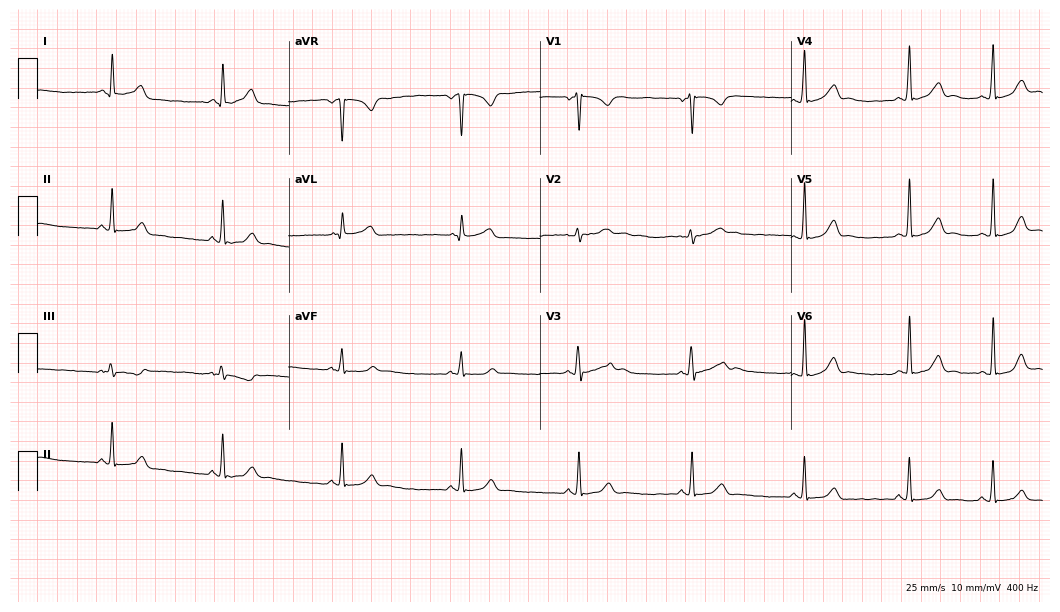
Electrocardiogram (10.2-second recording at 400 Hz), a female patient, 19 years old. Overall reading on record: normal ECG.